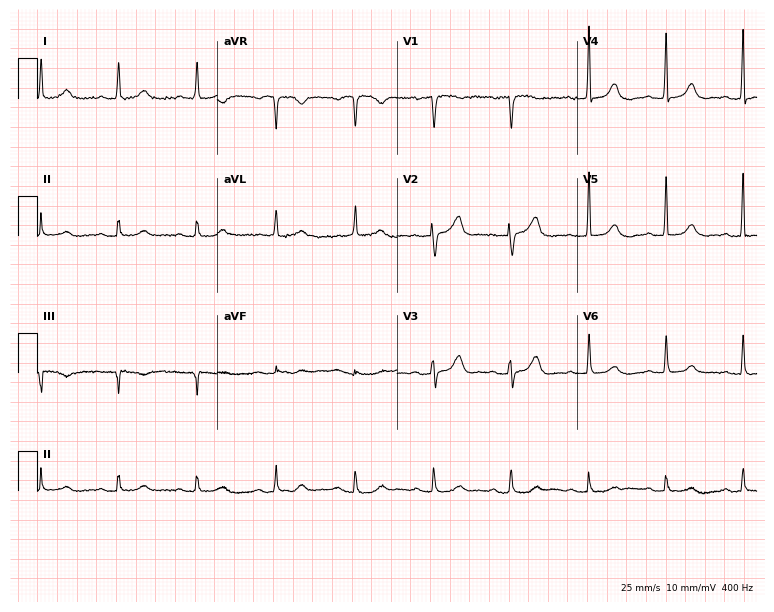
ECG — an 80-year-old woman. Labelled as a normal ECG.